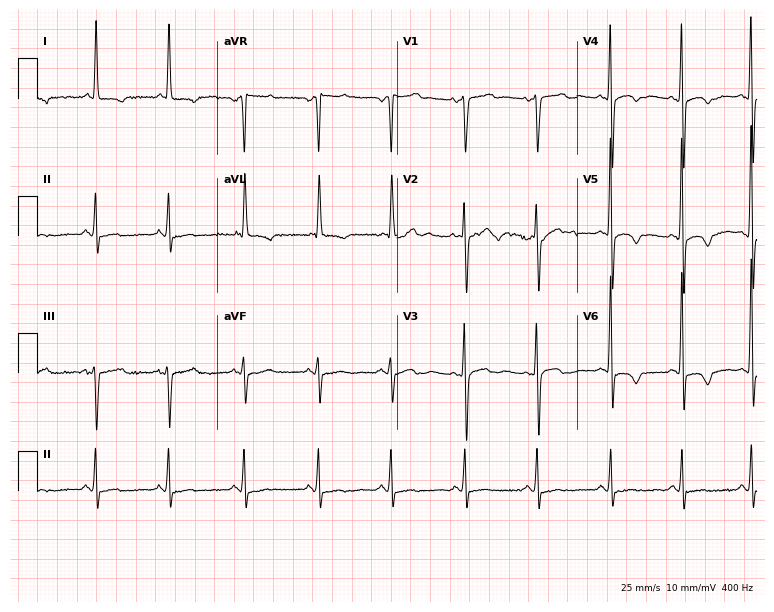
Resting 12-lead electrocardiogram (7.3-second recording at 400 Hz). Patient: a 59-year-old woman. None of these six findings is recorded: first-degree AV block, right bundle branch block, left bundle branch block, sinus bradycardia, atrial fibrillation, sinus tachycardia.